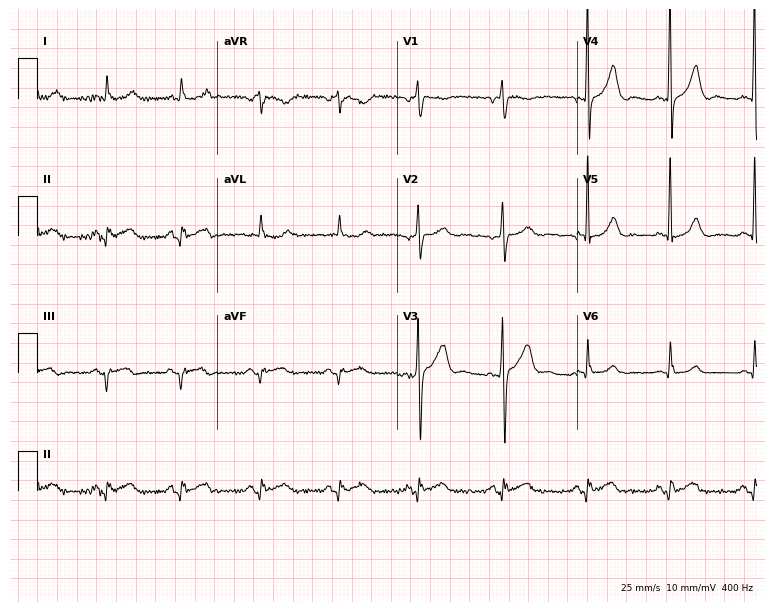
Resting 12-lead electrocardiogram (7.3-second recording at 400 Hz). Patient: a male, 63 years old. None of these six findings is recorded: first-degree AV block, right bundle branch block, left bundle branch block, sinus bradycardia, atrial fibrillation, sinus tachycardia.